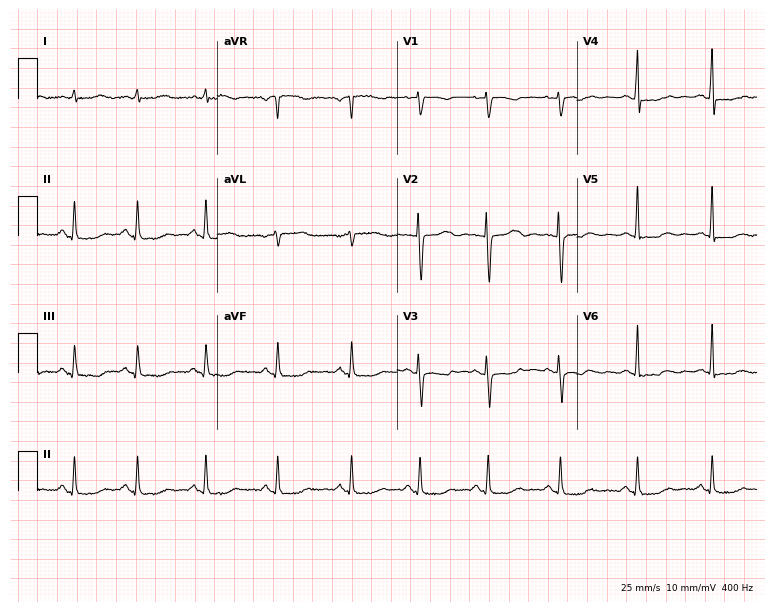
12-lead ECG (7.3-second recording at 400 Hz) from a female patient, 45 years old. Labelled as a normal ECG.